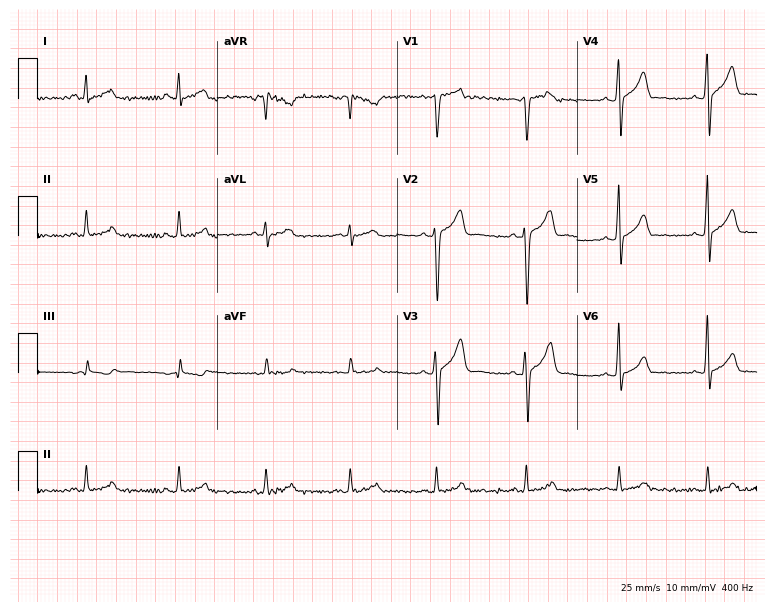
Resting 12-lead electrocardiogram. Patient: a male, 32 years old. None of these six findings is recorded: first-degree AV block, right bundle branch block, left bundle branch block, sinus bradycardia, atrial fibrillation, sinus tachycardia.